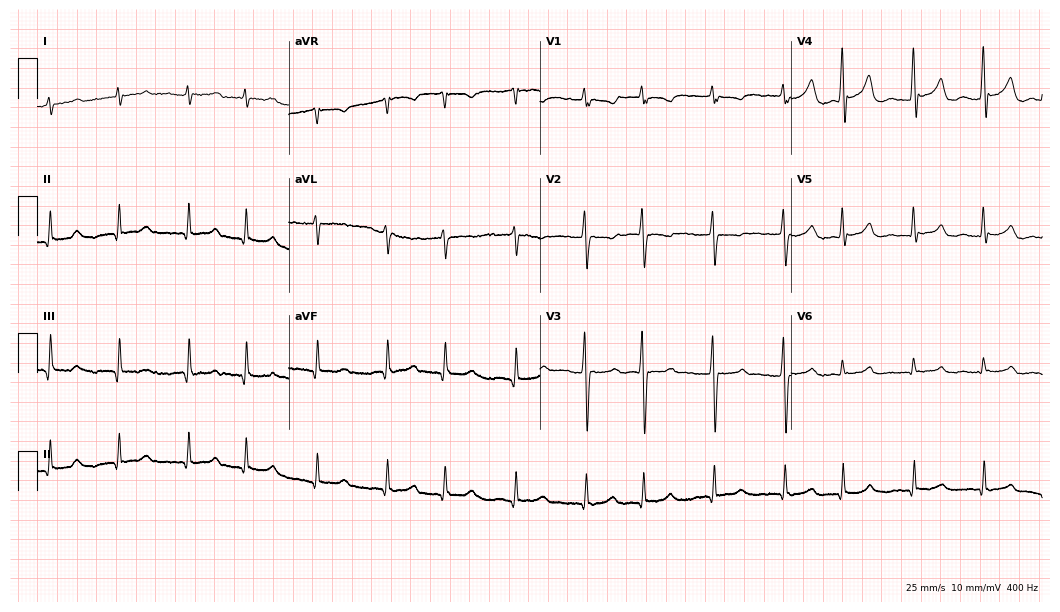
Electrocardiogram (10.2-second recording at 400 Hz), a 53-year-old man. Of the six screened findings (first-degree AV block, right bundle branch block, left bundle branch block, sinus bradycardia, atrial fibrillation, sinus tachycardia), none is recorded.